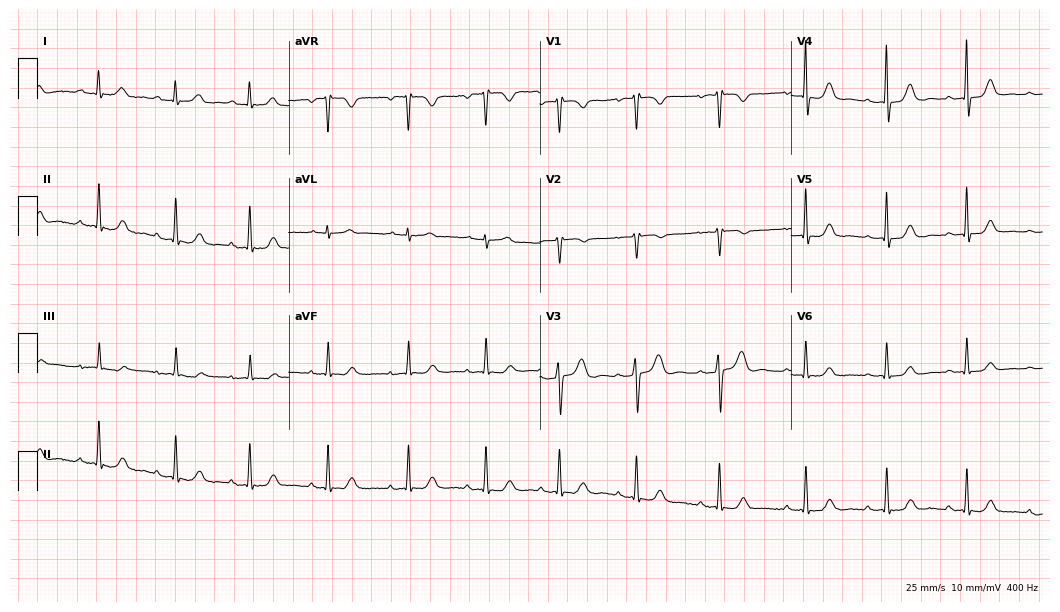
12-lead ECG from a woman, 36 years old. Labelled as a normal ECG.